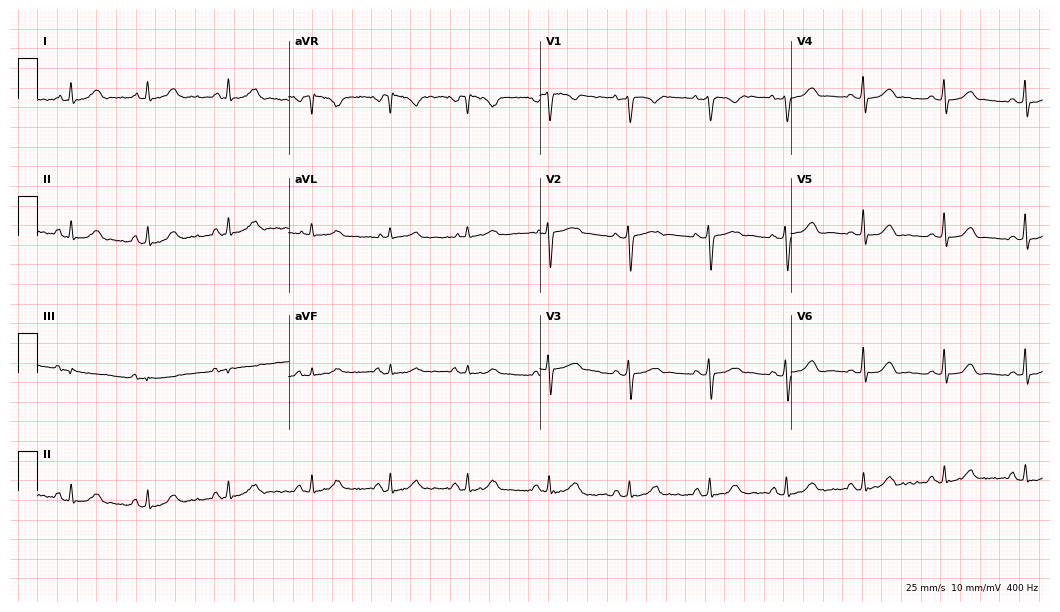
12-lead ECG from a female, 30 years old. Recorded interpretation: within normal limits.